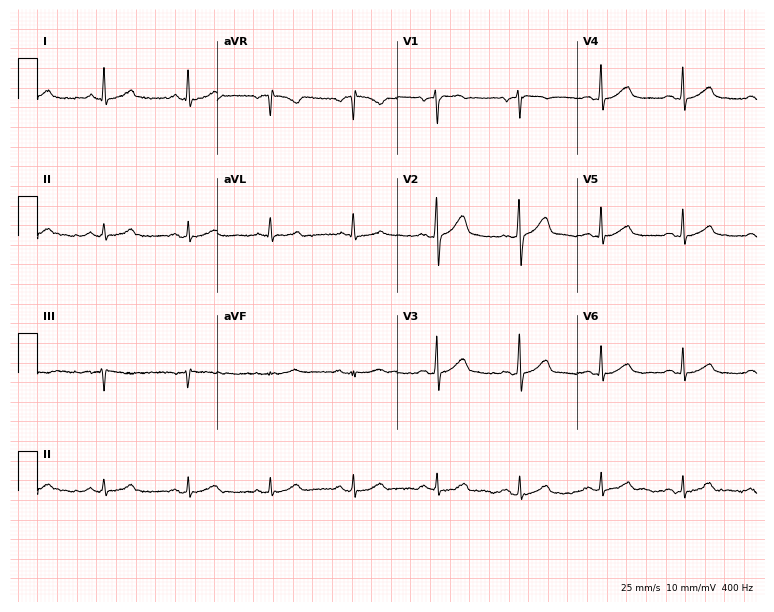
12-lead ECG from a 55-year-old man (7.3-second recording at 400 Hz). Recorded interpretation: within normal limits.